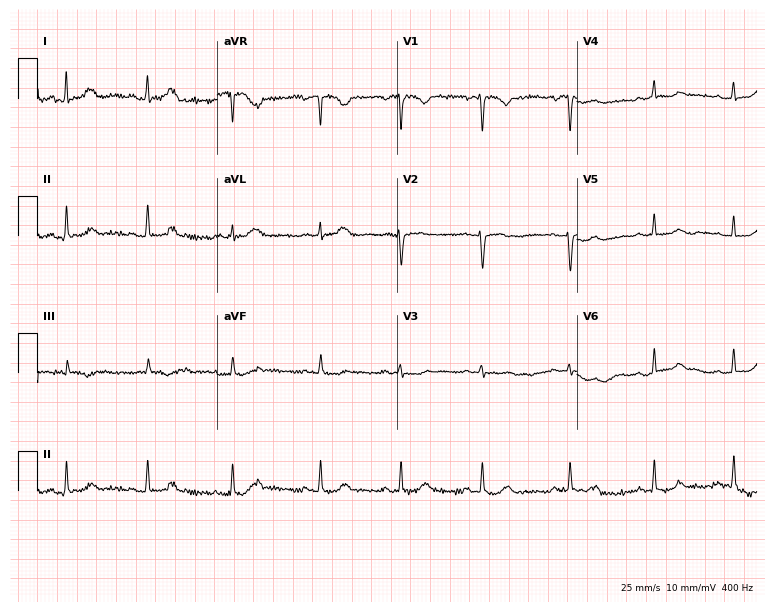
12-lead ECG from a 29-year-old female patient. Labelled as a normal ECG.